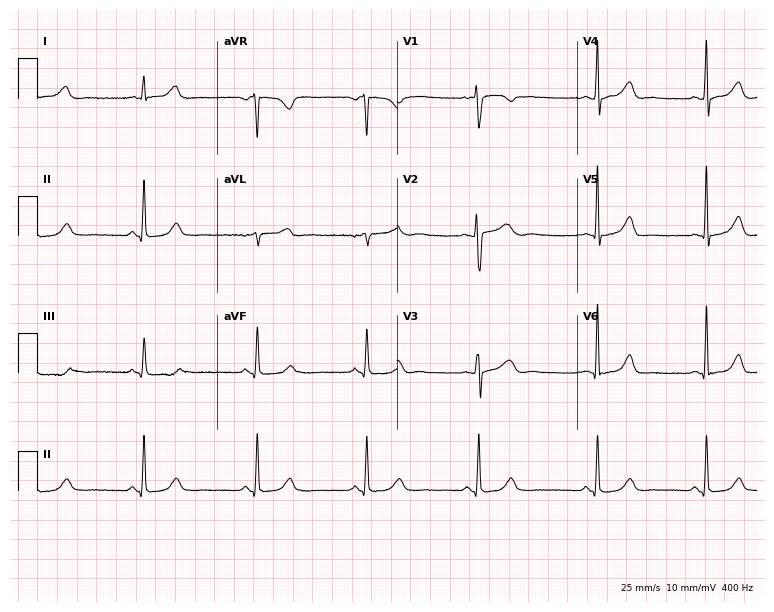
Standard 12-lead ECG recorded from a female, 38 years old (7.3-second recording at 400 Hz). None of these six findings is recorded: first-degree AV block, right bundle branch block (RBBB), left bundle branch block (LBBB), sinus bradycardia, atrial fibrillation (AF), sinus tachycardia.